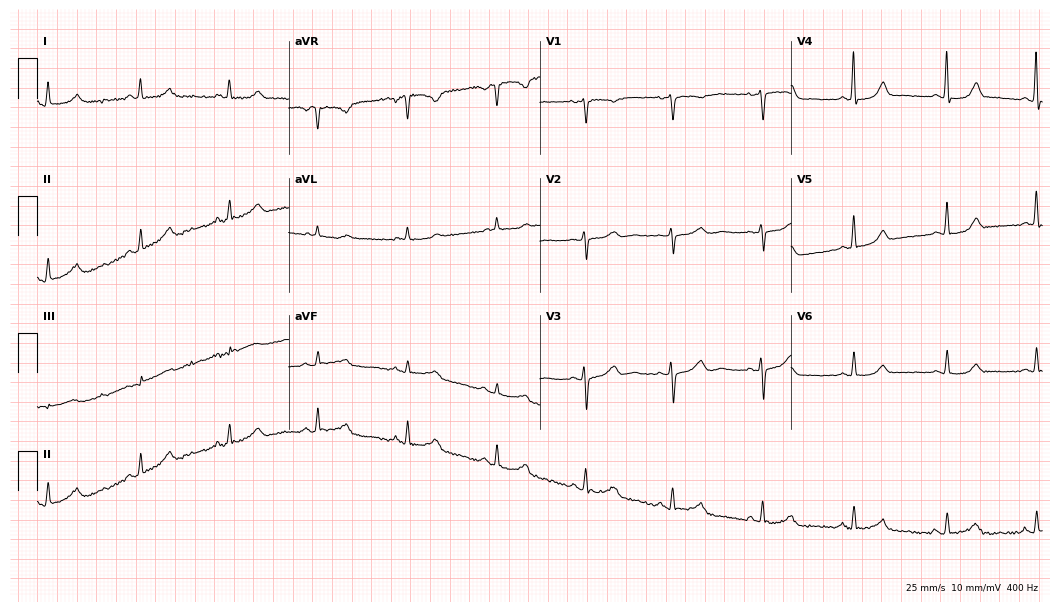
Standard 12-lead ECG recorded from a female, 66 years old (10.2-second recording at 400 Hz). Read as a normal ECG.